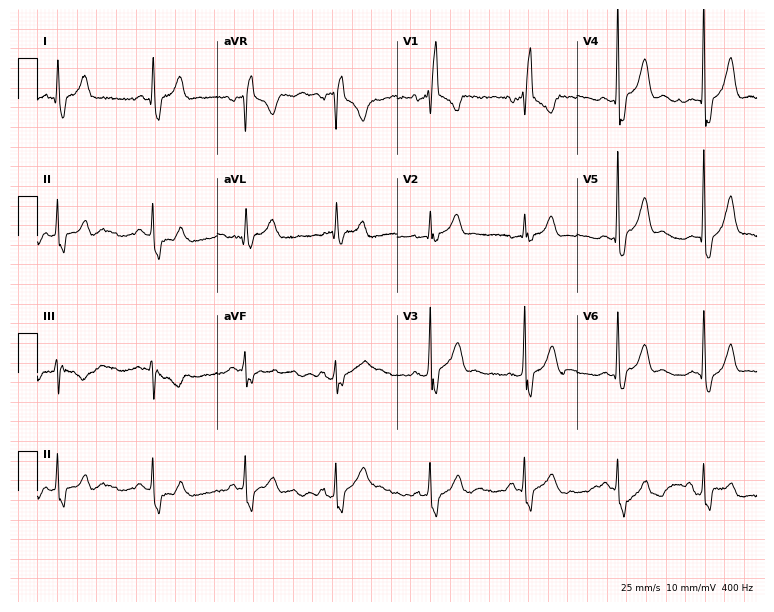
Electrocardiogram (7.3-second recording at 400 Hz), a man, 72 years old. Interpretation includes right bundle branch block.